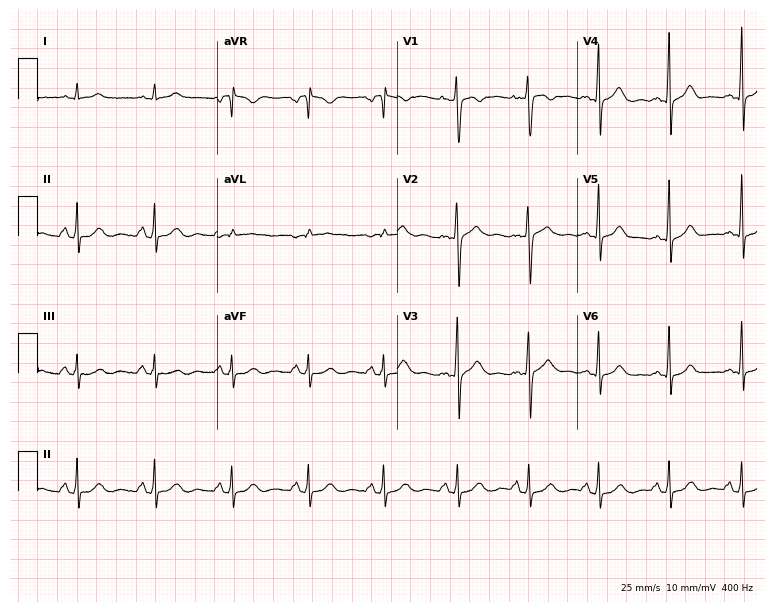
Standard 12-lead ECG recorded from a 37-year-old woman. Read as a normal ECG.